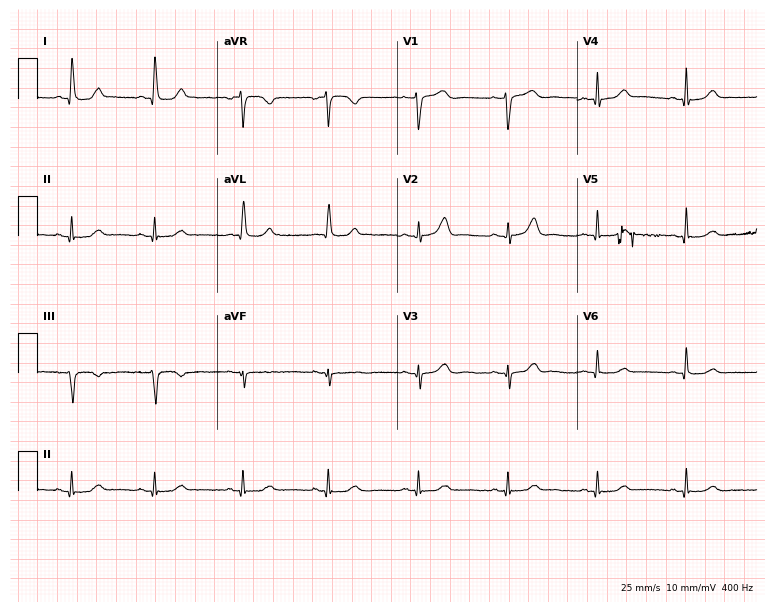
Electrocardiogram (7.3-second recording at 400 Hz), a female, 85 years old. Of the six screened findings (first-degree AV block, right bundle branch block (RBBB), left bundle branch block (LBBB), sinus bradycardia, atrial fibrillation (AF), sinus tachycardia), none is recorded. Only these six findings were labelled.